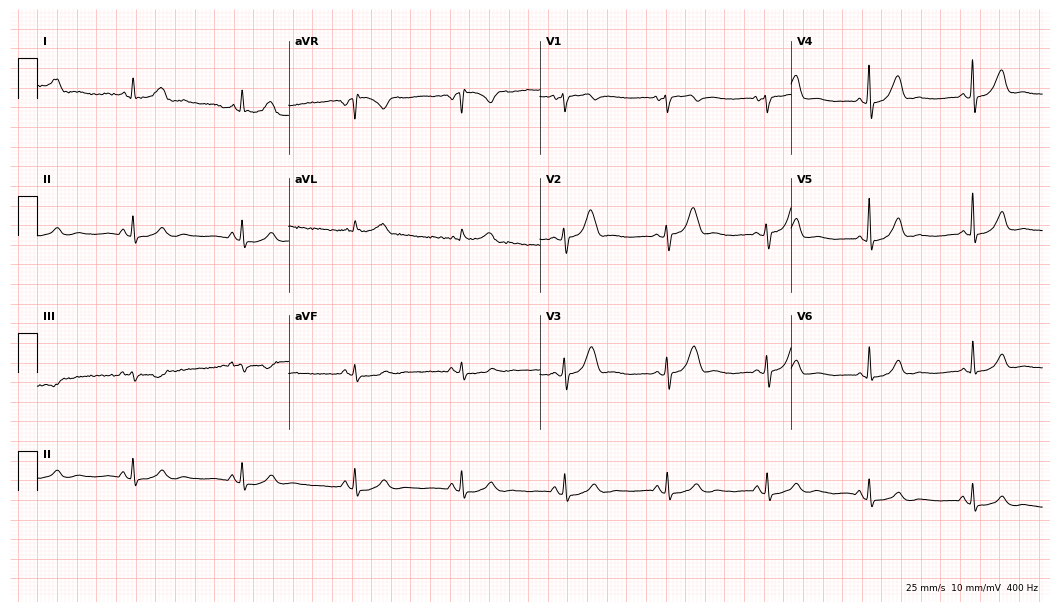
12-lead ECG from a woman, 45 years old. Labelled as a normal ECG.